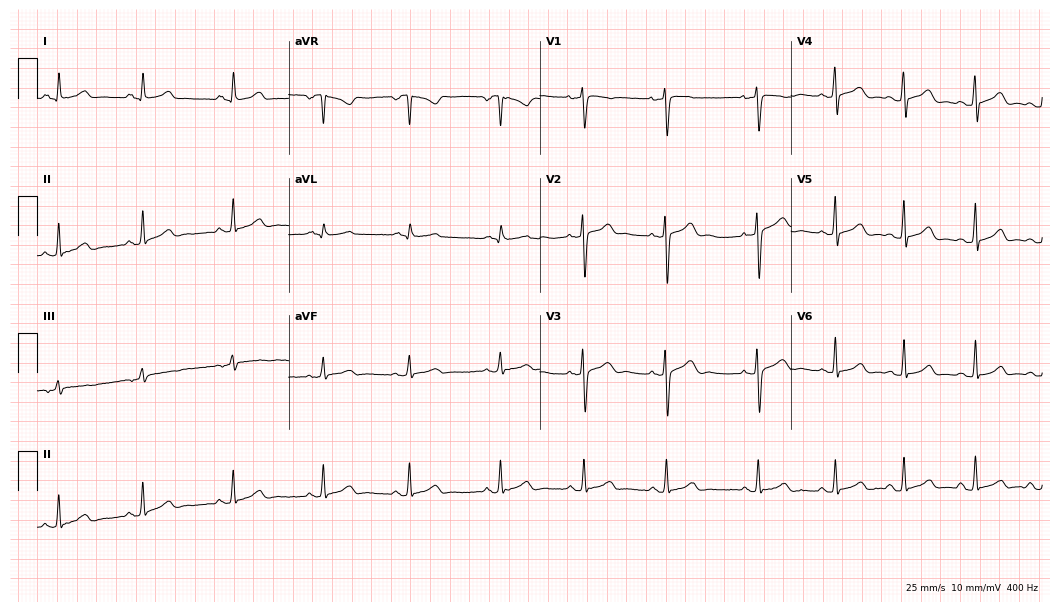
12-lead ECG from a female, 22 years old. Recorded interpretation: within normal limits.